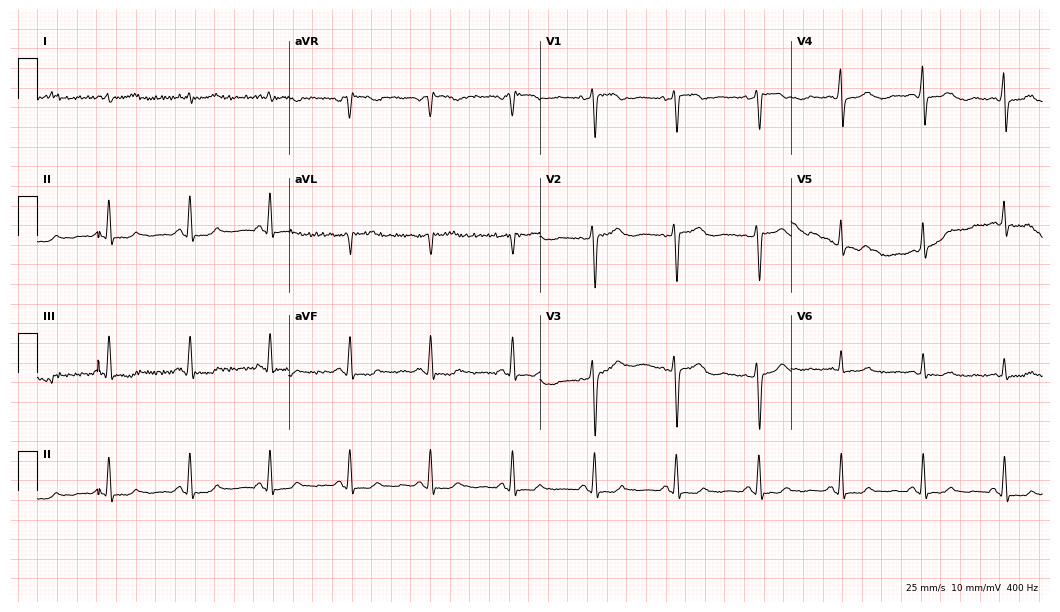
Electrocardiogram (10.2-second recording at 400 Hz), a woman, 57 years old. Of the six screened findings (first-degree AV block, right bundle branch block, left bundle branch block, sinus bradycardia, atrial fibrillation, sinus tachycardia), none is recorded.